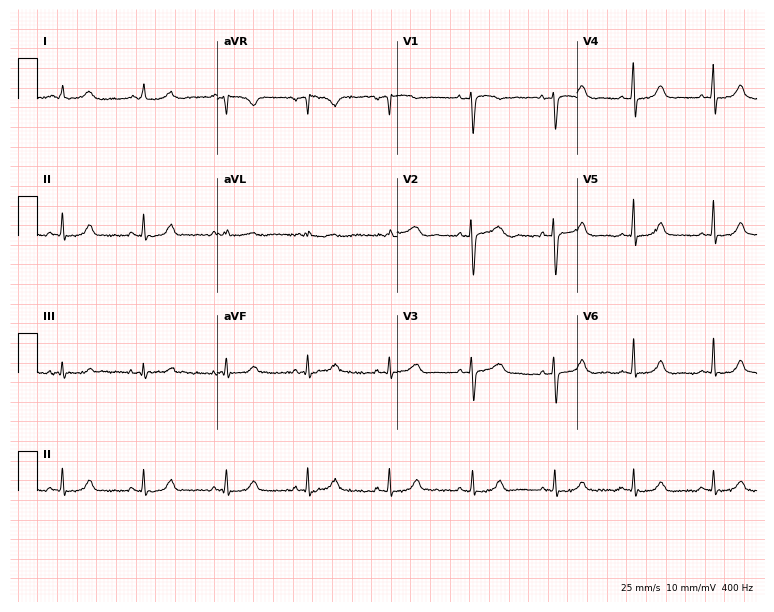
12-lead ECG from a female, 42 years old. Screened for six findings — first-degree AV block, right bundle branch block, left bundle branch block, sinus bradycardia, atrial fibrillation, sinus tachycardia — none is recorded. Other findings, if any, are not listed.